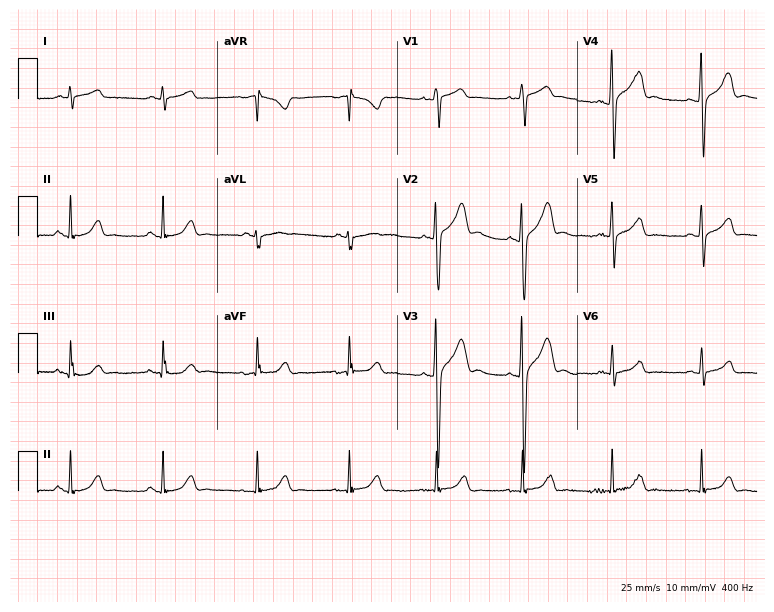
Electrocardiogram (7.3-second recording at 400 Hz), a 26-year-old man. Of the six screened findings (first-degree AV block, right bundle branch block, left bundle branch block, sinus bradycardia, atrial fibrillation, sinus tachycardia), none is recorded.